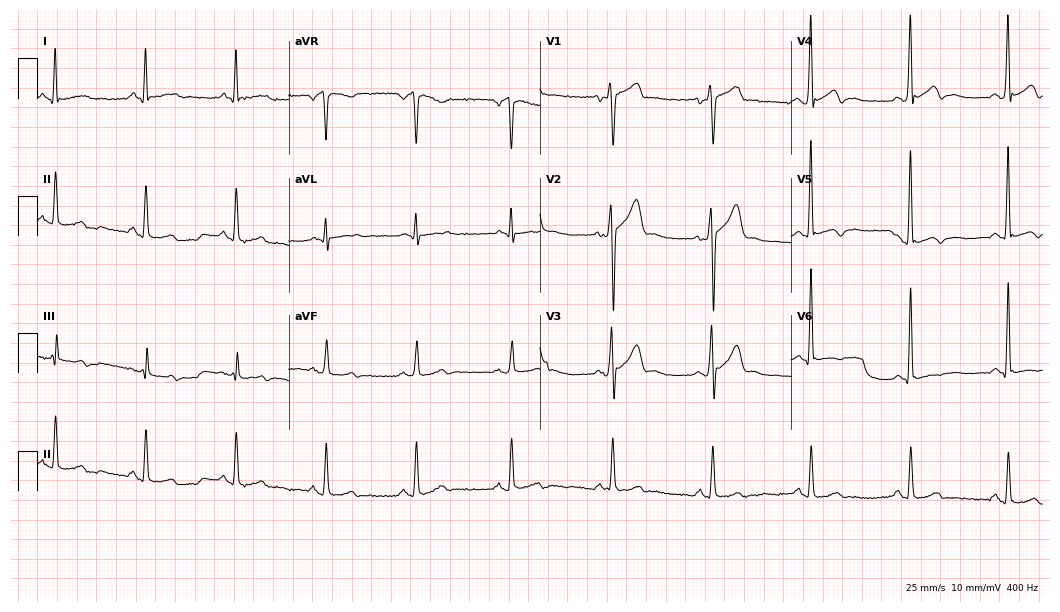
Electrocardiogram (10.2-second recording at 400 Hz), a male patient, 37 years old. Of the six screened findings (first-degree AV block, right bundle branch block, left bundle branch block, sinus bradycardia, atrial fibrillation, sinus tachycardia), none is recorded.